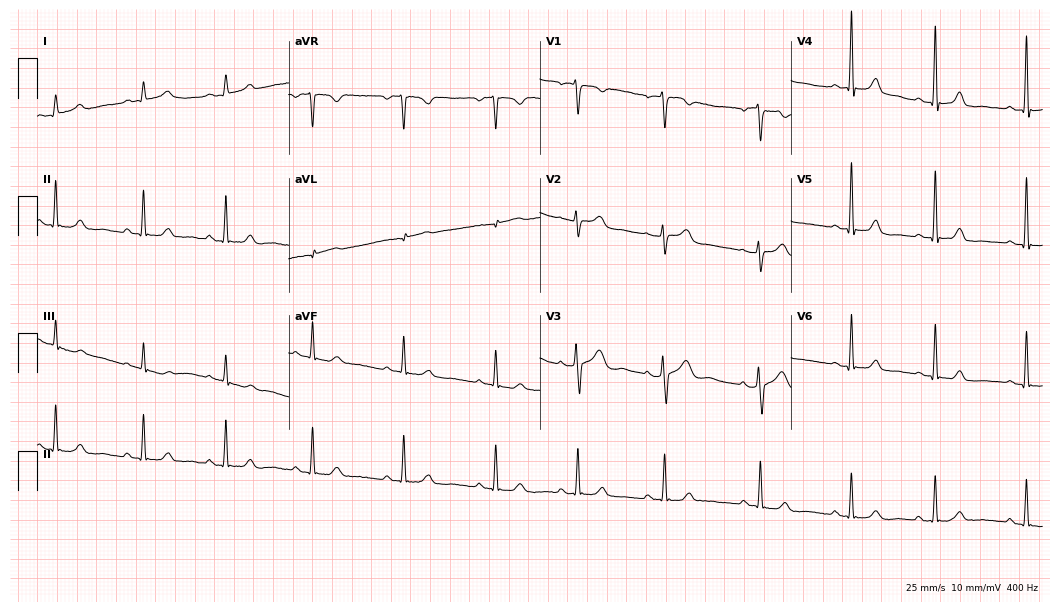
ECG (10.2-second recording at 400 Hz) — a woman, 27 years old. Screened for six findings — first-degree AV block, right bundle branch block, left bundle branch block, sinus bradycardia, atrial fibrillation, sinus tachycardia — none is recorded.